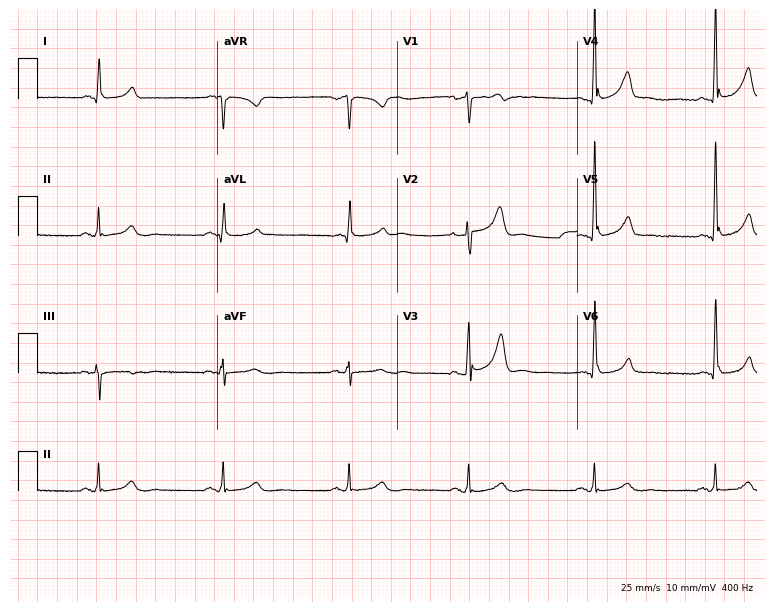
Resting 12-lead electrocardiogram (7.3-second recording at 400 Hz). Patient: a man, 70 years old. The tracing shows sinus bradycardia (a sinus rate of 50 beats per minute or less).